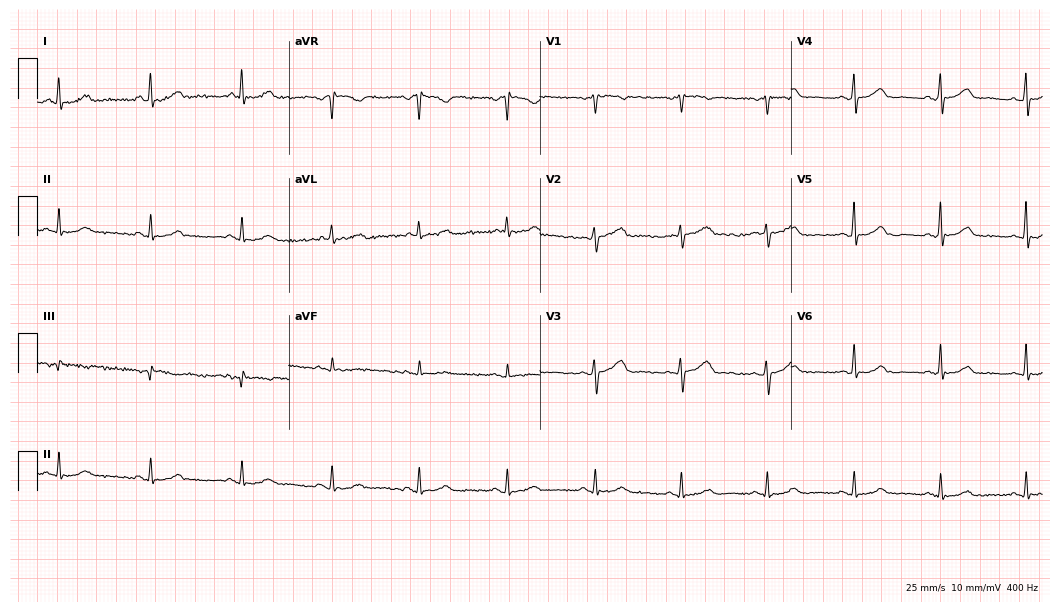
ECG (10.2-second recording at 400 Hz) — a woman, 50 years old. Labelled as a normal ECG.